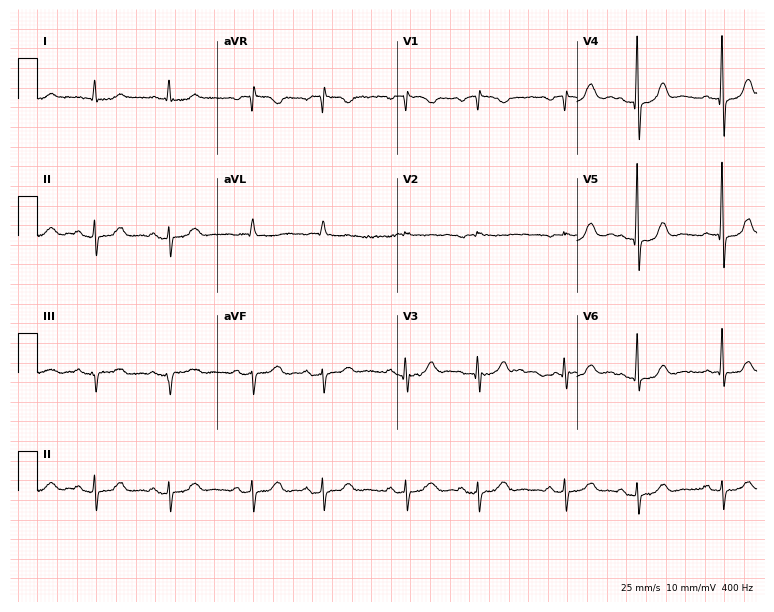
Resting 12-lead electrocardiogram (7.3-second recording at 400 Hz). Patient: an 80-year-old woman. None of these six findings is recorded: first-degree AV block, right bundle branch block (RBBB), left bundle branch block (LBBB), sinus bradycardia, atrial fibrillation (AF), sinus tachycardia. Other findings, if any, are not listed.